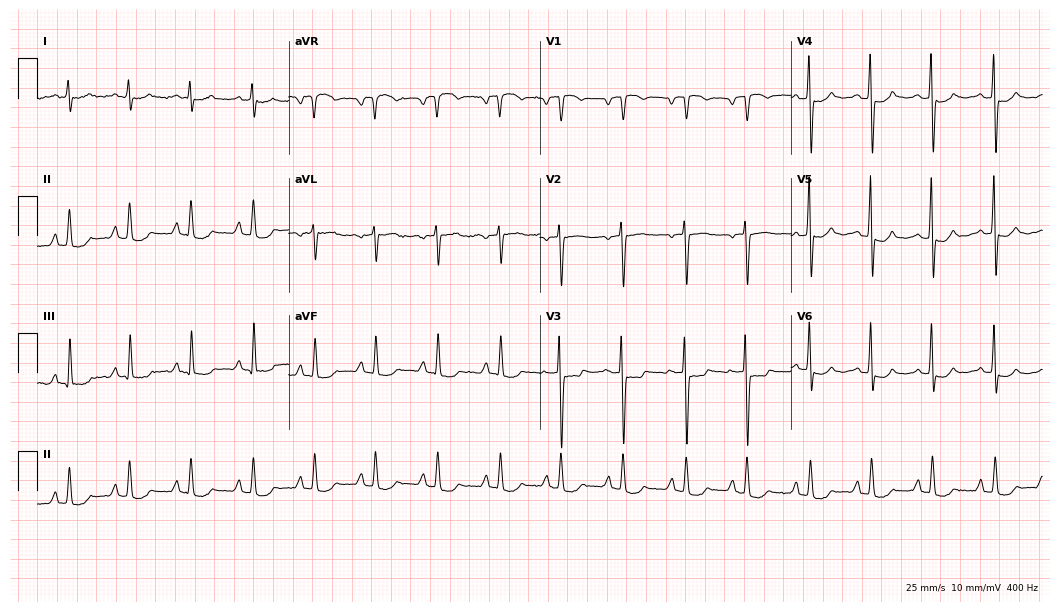
12-lead ECG from a female patient, 72 years old. Labelled as a normal ECG.